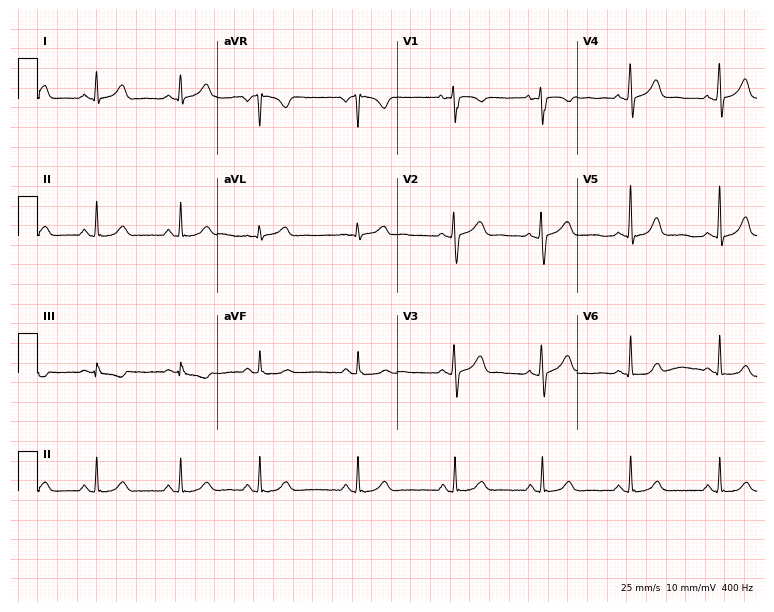
12-lead ECG from a 23-year-old woman. Screened for six findings — first-degree AV block, right bundle branch block, left bundle branch block, sinus bradycardia, atrial fibrillation, sinus tachycardia — none is recorded. Findings outside these six are not listed.